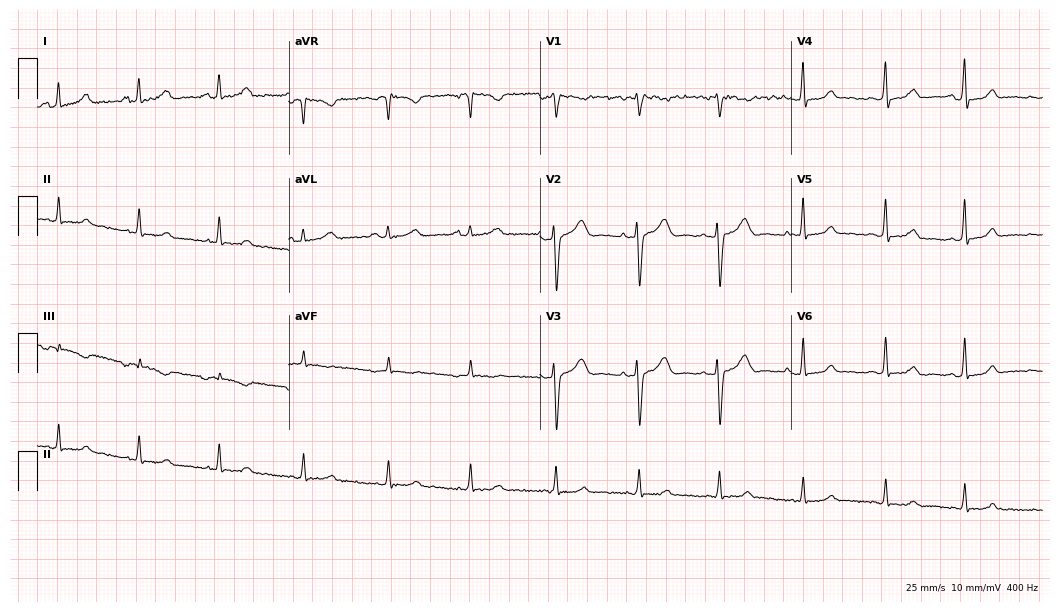
Standard 12-lead ECG recorded from a 42-year-old female. Read as a normal ECG.